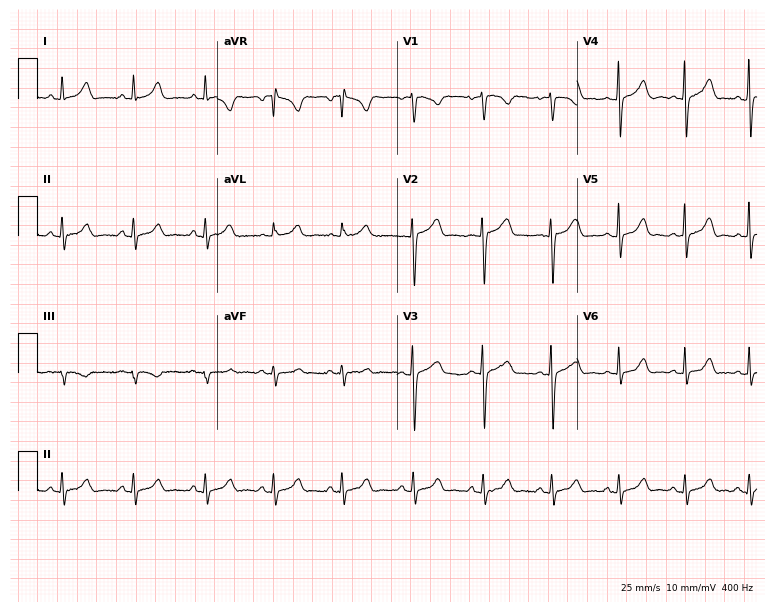
12-lead ECG from a 33-year-old female. Recorded interpretation: within normal limits.